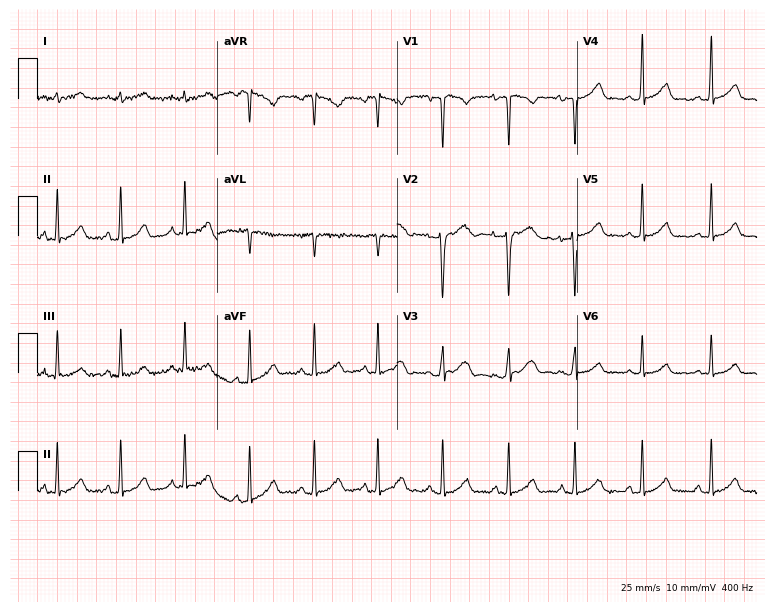
Standard 12-lead ECG recorded from a female, 20 years old. Read as a normal ECG.